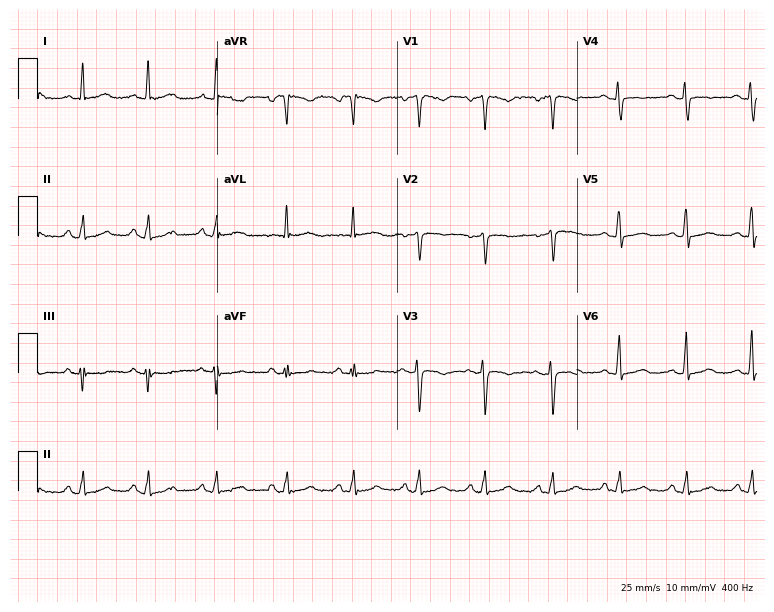
Resting 12-lead electrocardiogram (7.3-second recording at 400 Hz). Patient: a 51-year-old female. None of these six findings is recorded: first-degree AV block, right bundle branch block, left bundle branch block, sinus bradycardia, atrial fibrillation, sinus tachycardia. Only these six findings were labelled.